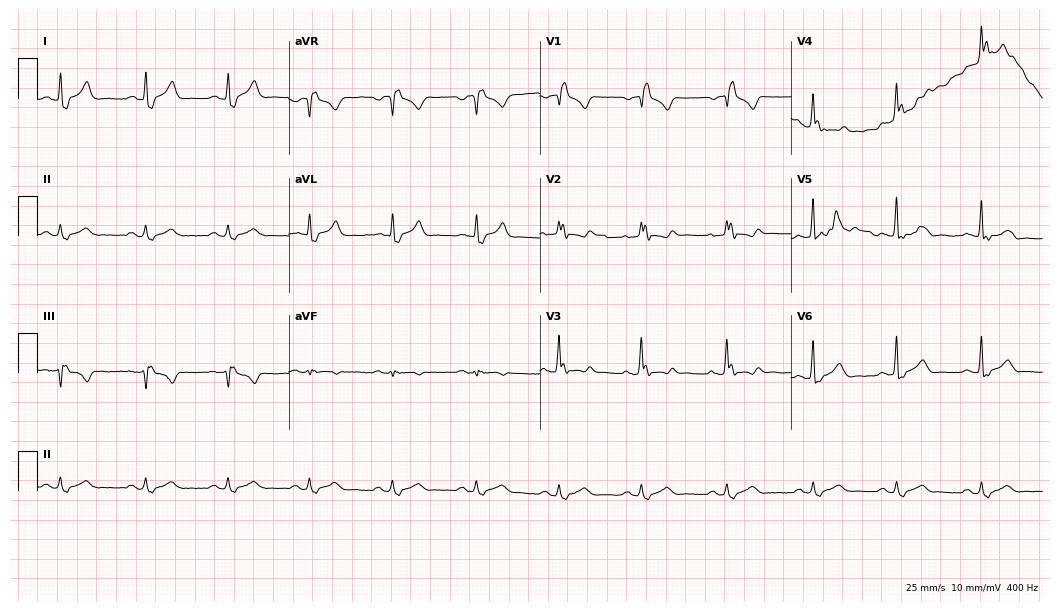
Standard 12-lead ECG recorded from a 50-year-old male. None of these six findings is recorded: first-degree AV block, right bundle branch block (RBBB), left bundle branch block (LBBB), sinus bradycardia, atrial fibrillation (AF), sinus tachycardia.